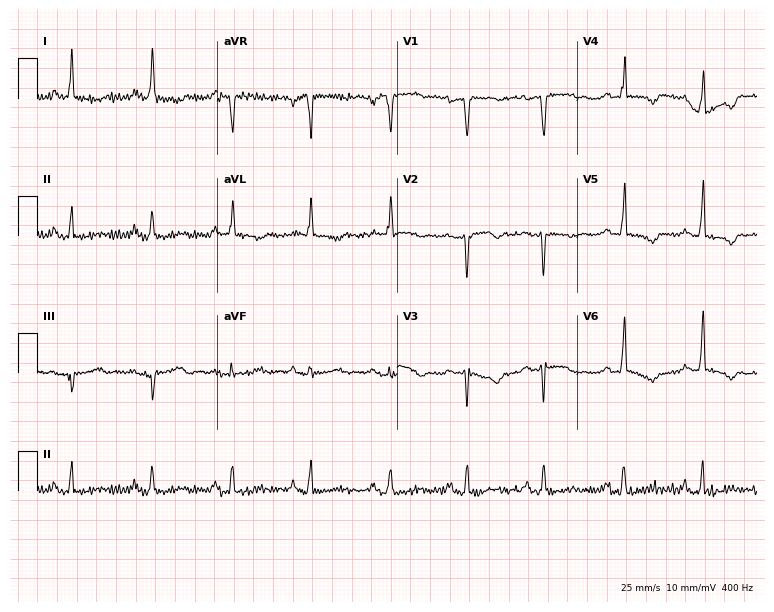
Standard 12-lead ECG recorded from a female patient, 81 years old (7.3-second recording at 400 Hz). None of these six findings is recorded: first-degree AV block, right bundle branch block, left bundle branch block, sinus bradycardia, atrial fibrillation, sinus tachycardia. Only these six findings were labelled.